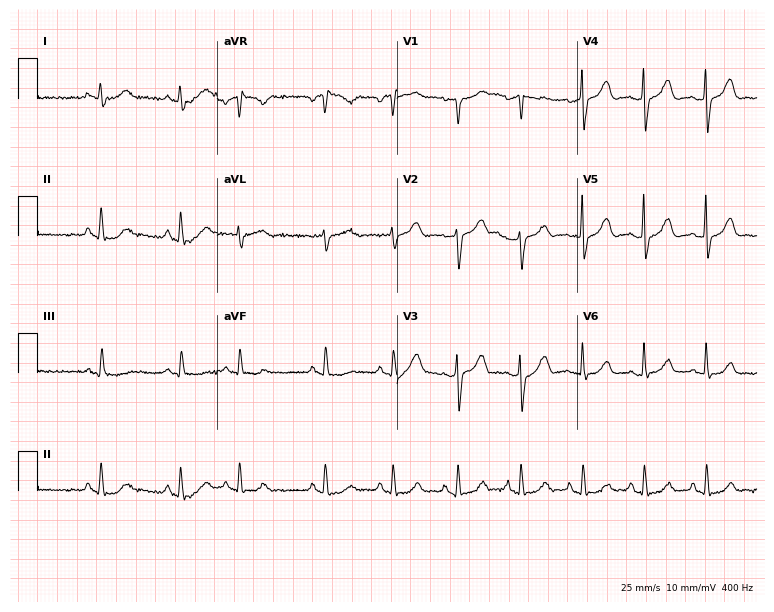
12-lead ECG from a female patient, 71 years old. Screened for six findings — first-degree AV block, right bundle branch block, left bundle branch block, sinus bradycardia, atrial fibrillation, sinus tachycardia — none is recorded.